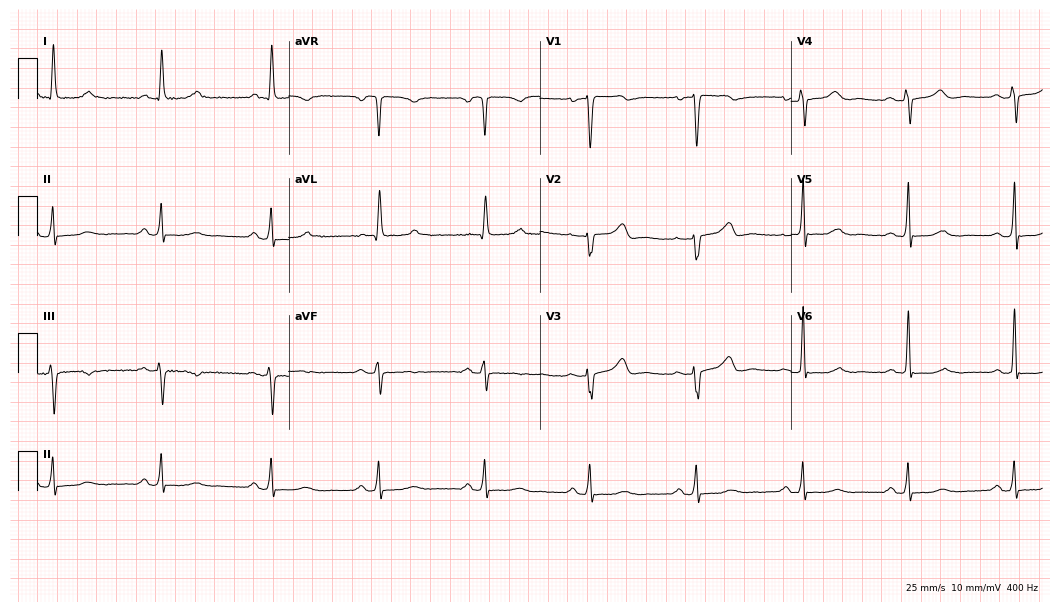
12-lead ECG from a woman, 66 years old (10.2-second recording at 400 Hz). No first-degree AV block, right bundle branch block, left bundle branch block, sinus bradycardia, atrial fibrillation or sinus tachycardia recorded for this tracing.